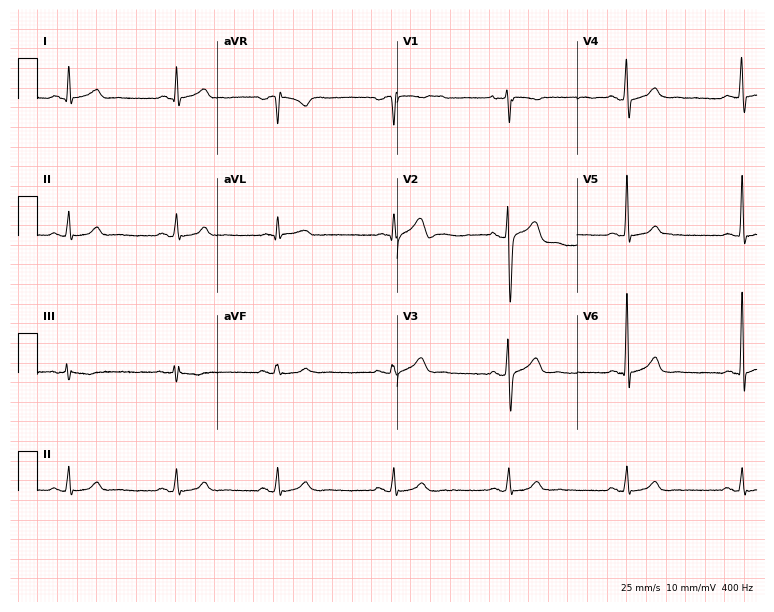
Resting 12-lead electrocardiogram. Patient: a 38-year-old man. Read as a normal ECG.